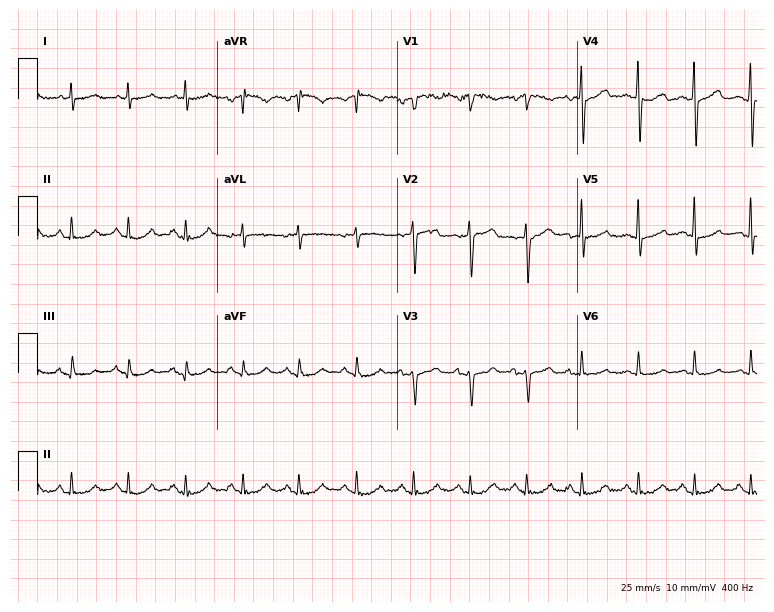
12-lead ECG from a male, 68 years old (7.3-second recording at 400 Hz). Recorded interpretation: within normal limits.